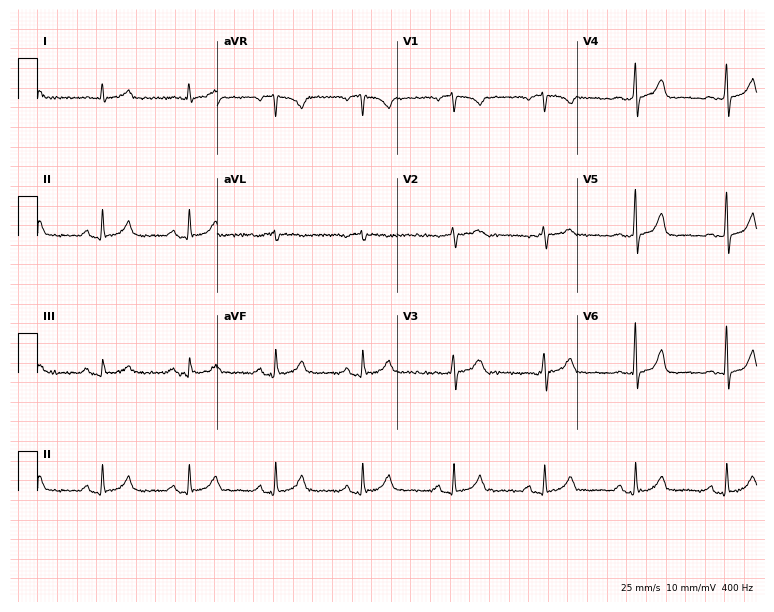
12-lead ECG from a man, 72 years old. Labelled as a normal ECG.